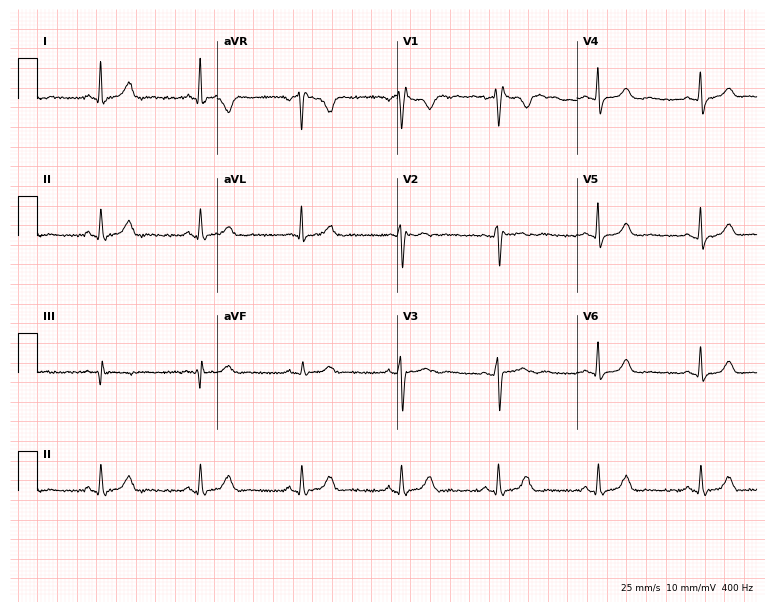
Electrocardiogram, a female, 40 years old. Of the six screened findings (first-degree AV block, right bundle branch block (RBBB), left bundle branch block (LBBB), sinus bradycardia, atrial fibrillation (AF), sinus tachycardia), none is recorded. Findings outside these six are not listed.